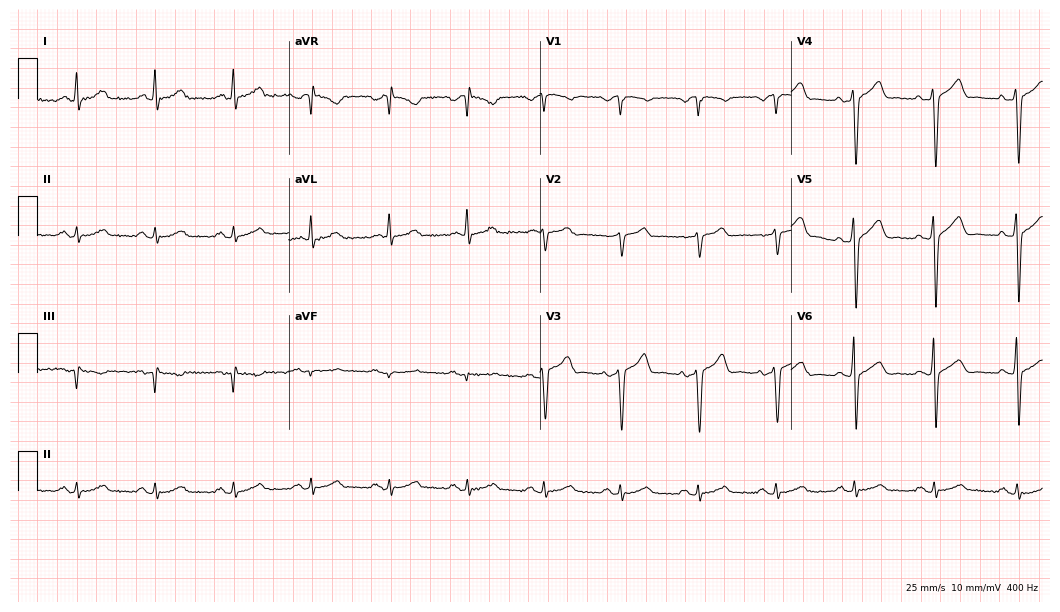
Standard 12-lead ECG recorded from a 50-year-old man (10.2-second recording at 400 Hz). None of these six findings is recorded: first-degree AV block, right bundle branch block, left bundle branch block, sinus bradycardia, atrial fibrillation, sinus tachycardia.